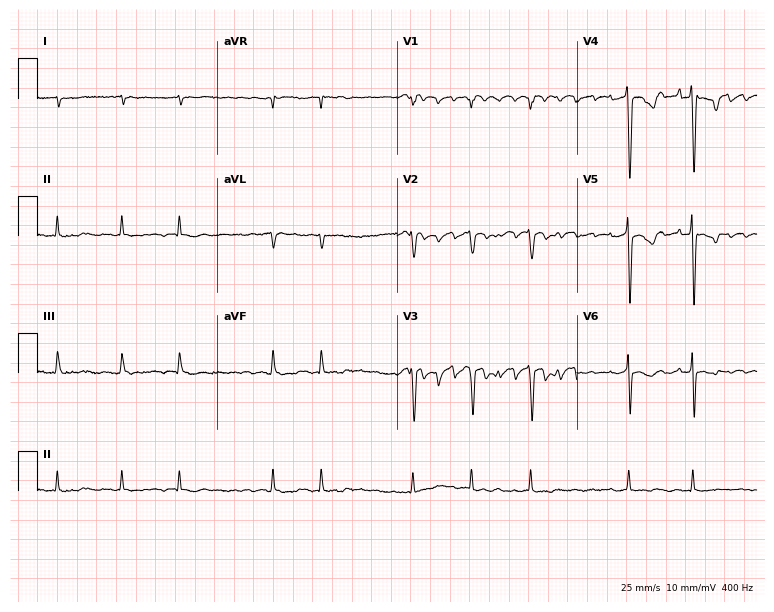
12-lead ECG from a 73-year-old man. Findings include atrial fibrillation.